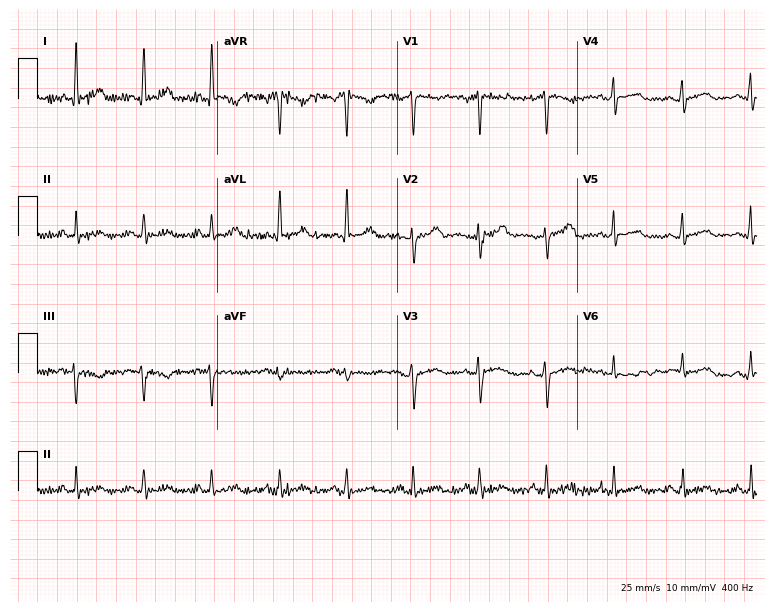
12-lead ECG from a female, 47 years old. Labelled as a normal ECG.